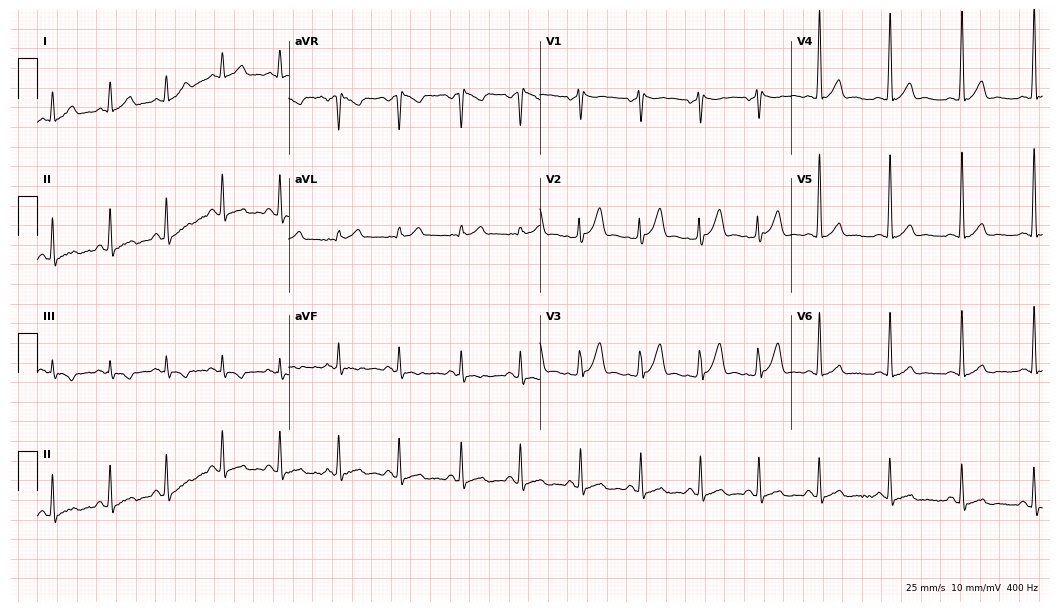
Resting 12-lead electrocardiogram (10.2-second recording at 400 Hz). Patient: a 33-year-old female. Read as a normal ECG.